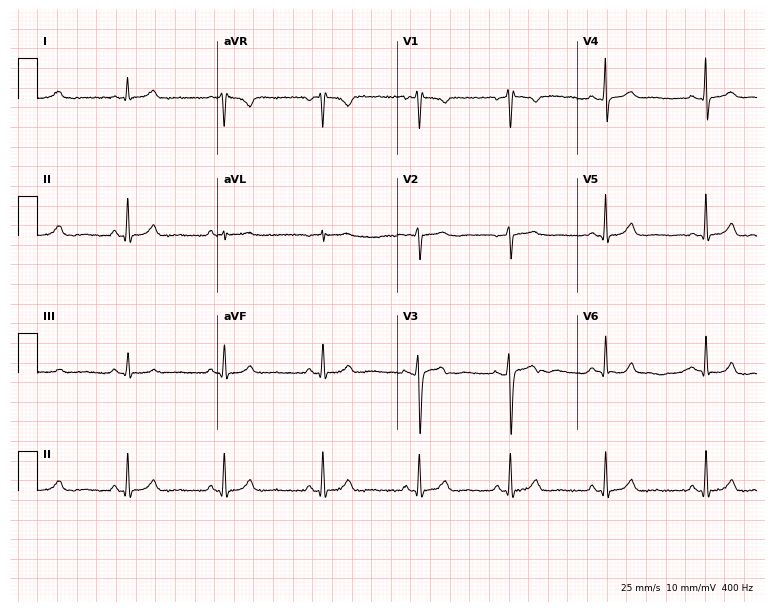
Electrocardiogram, a 32-year-old woman. Of the six screened findings (first-degree AV block, right bundle branch block, left bundle branch block, sinus bradycardia, atrial fibrillation, sinus tachycardia), none is recorded. Only these six findings were labelled.